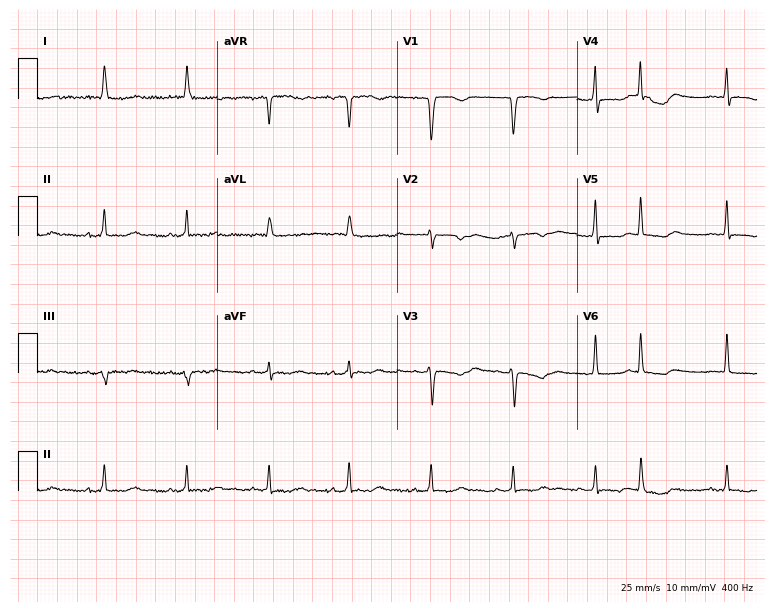
12-lead ECG from a 75-year-old female. No first-degree AV block, right bundle branch block (RBBB), left bundle branch block (LBBB), sinus bradycardia, atrial fibrillation (AF) or sinus tachycardia recorded for this tracing.